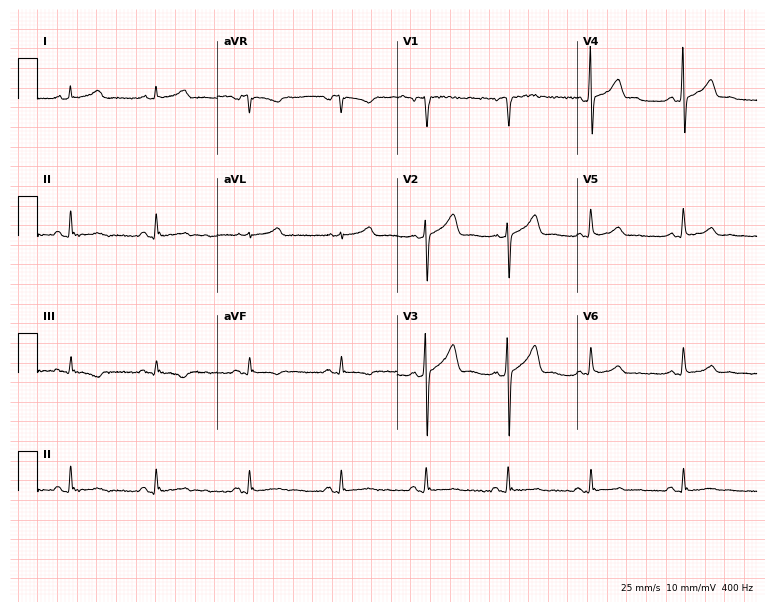
Standard 12-lead ECG recorded from a male, 34 years old. None of these six findings is recorded: first-degree AV block, right bundle branch block, left bundle branch block, sinus bradycardia, atrial fibrillation, sinus tachycardia. Findings outside these six are not listed.